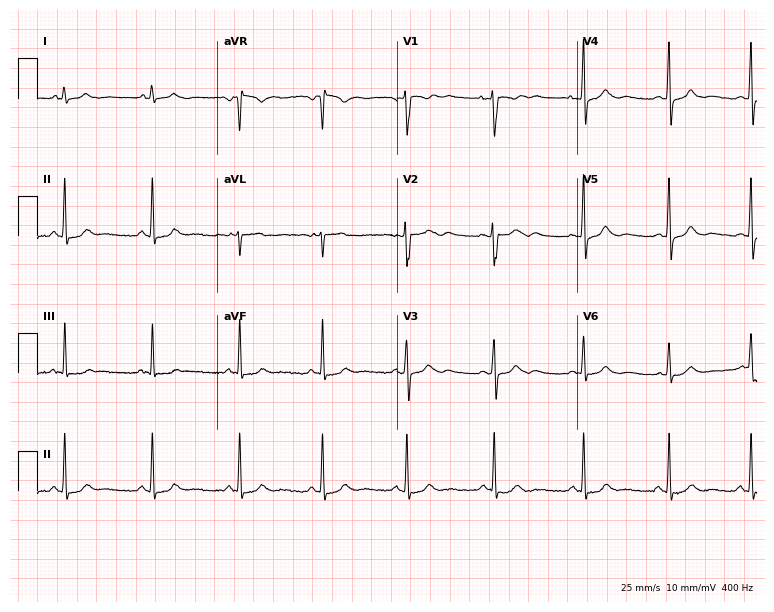
Standard 12-lead ECG recorded from a 25-year-old woman (7.3-second recording at 400 Hz). None of these six findings is recorded: first-degree AV block, right bundle branch block, left bundle branch block, sinus bradycardia, atrial fibrillation, sinus tachycardia.